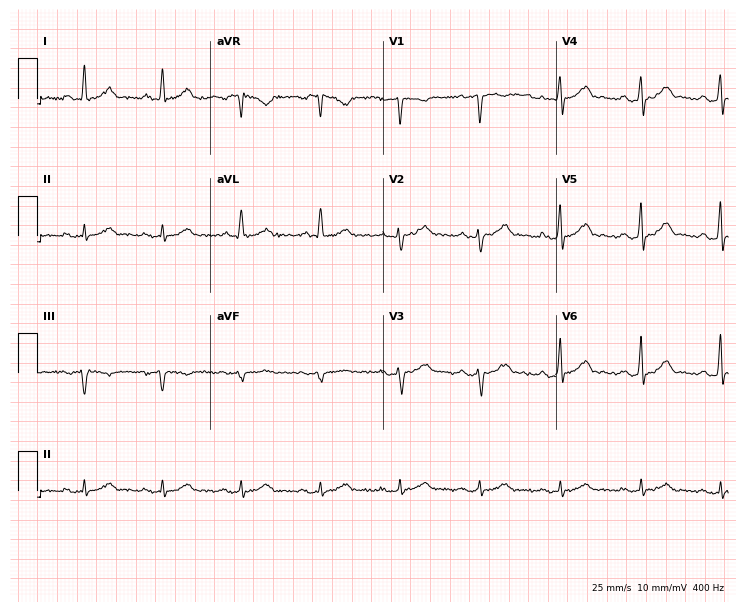
Standard 12-lead ECG recorded from a 58-year-old male. None of these six findings is recorded: first-degree AV block, right bundle branch block, left bundle branch block, sinus bradycardia, atrial fibrillation, sinus tachycardia. Only these six findings were labelled.